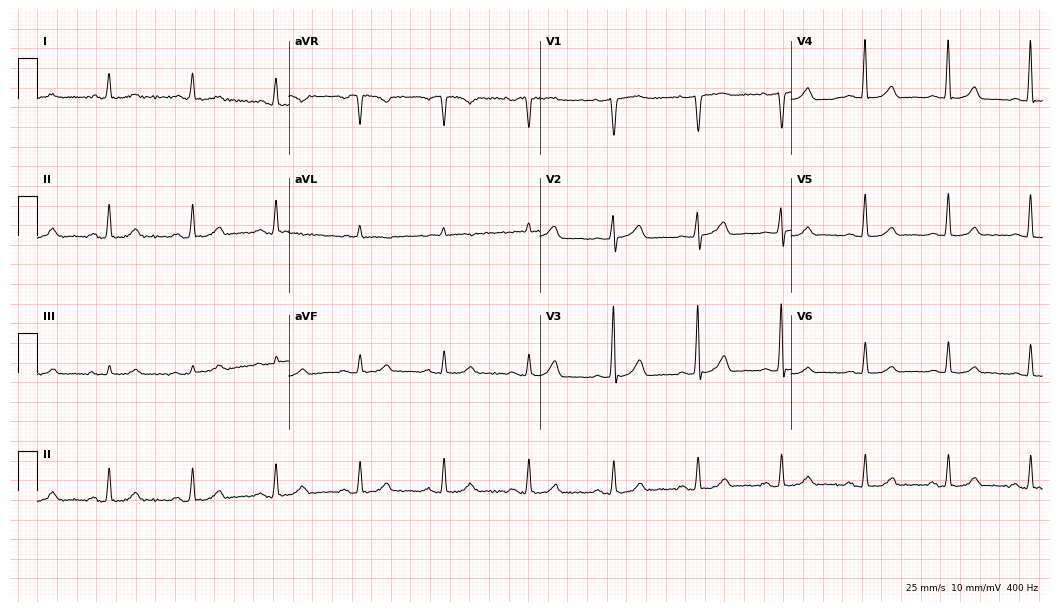
Electrocardiogram (10.2-second recording at 400 Hz), a 61-year-old woman. Overall reading on record: normal ECG.